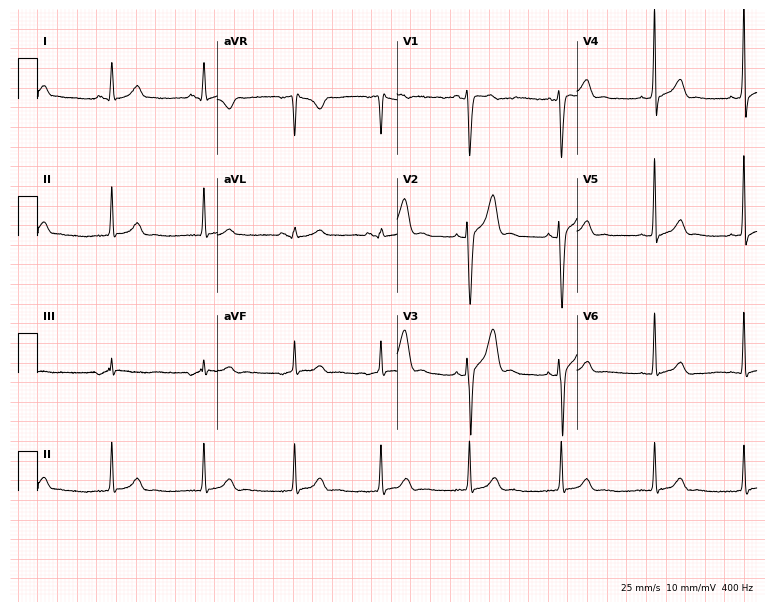
Electrocardiogram, a 23-year-old male patient. Of the six screened findings (first-degree AV block, right bundle branch block (RBBB), left bundle branch block (LBBB), sinus bradycardia, atrial fibrillation (AF), sinus tachycardia), none is recorded. Findings outside these six are not listed.